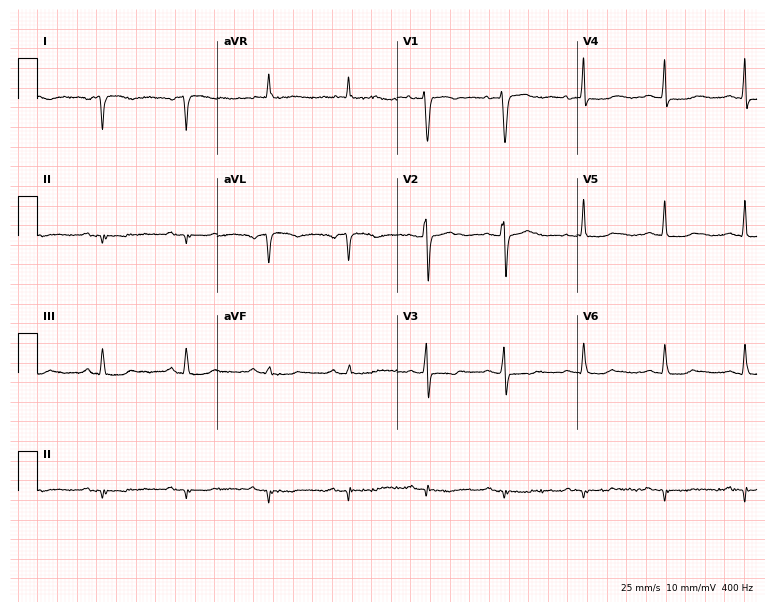
12-lead ECG from a 51-year-old female. No first-degree AV block, right bundle branch block (RBBB), left bundle branch block (LBBB), sinus bradycardia, atrial fibrillation (AF) or sinus tachycardia recorded for this tracing. Only these six findings were labelled.